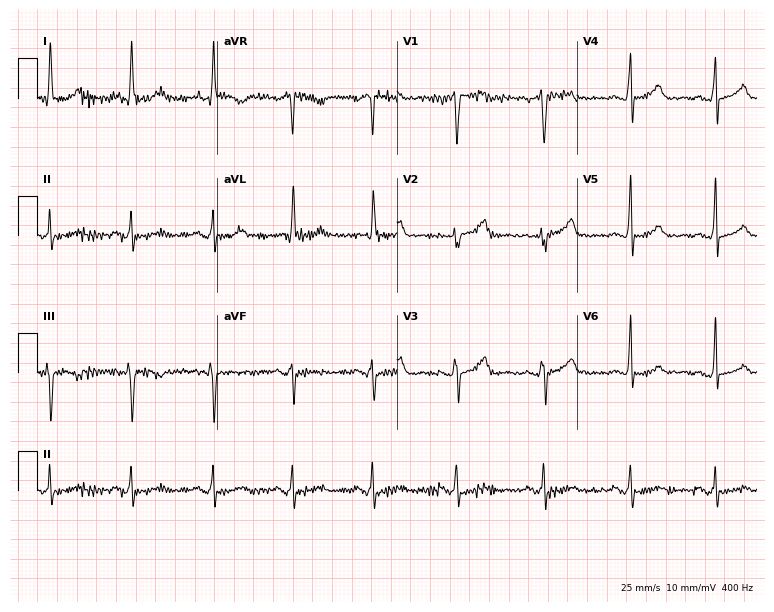
Resting 12-lead electrocardiogram (7.3-second recording at 400 Hz). Patient: a 39-year-old woman. Read as a normal ECG.